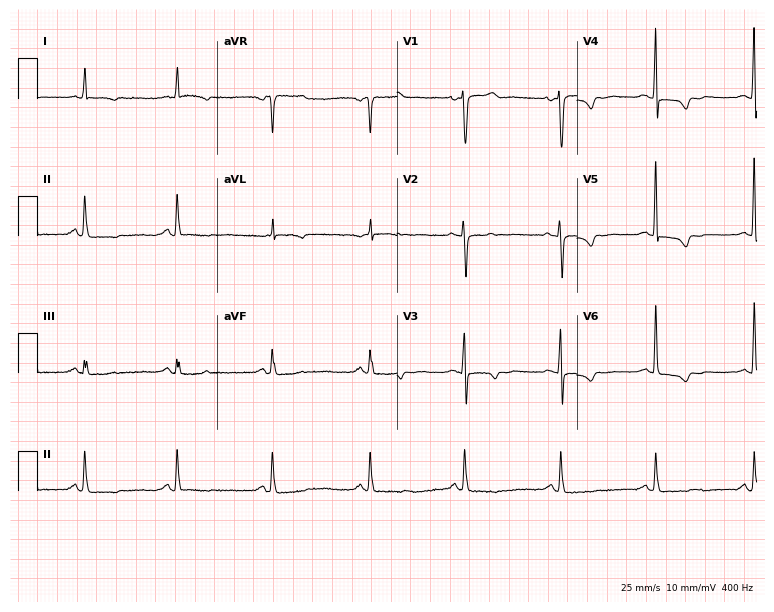
12-lead ECG from a female, 81 years old (7.3-second recording at 400 Hz). Recorded interpretation: within normal limits.